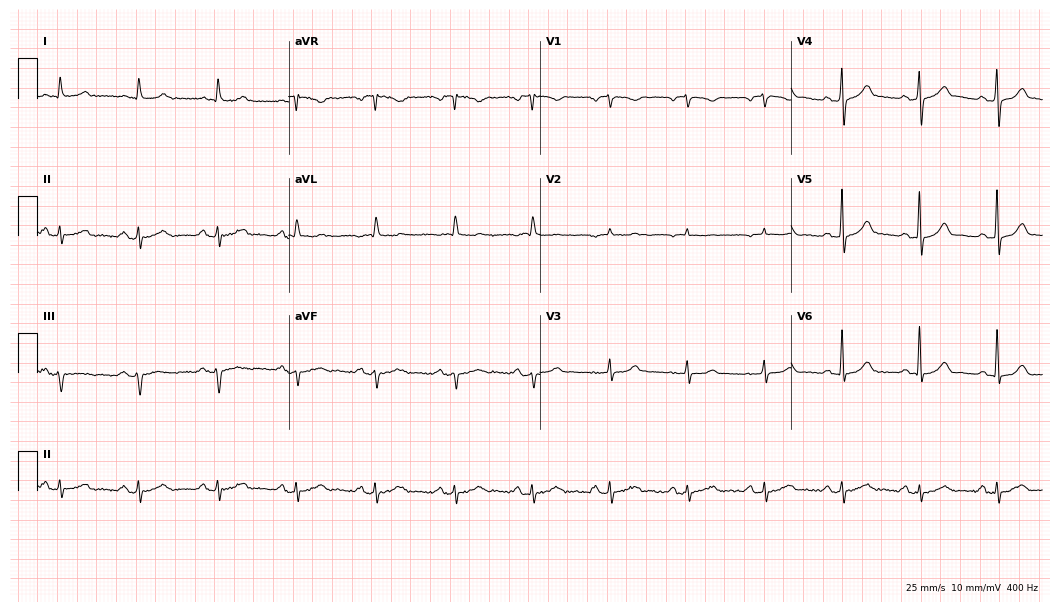
ECG — a 74-year-old male. Screened for six findings — first-degree AV block, right bundle branch block, left bundle branch block, sinus bradycardia, atrial fibrillation, sinus tachycardia — none is recorded.